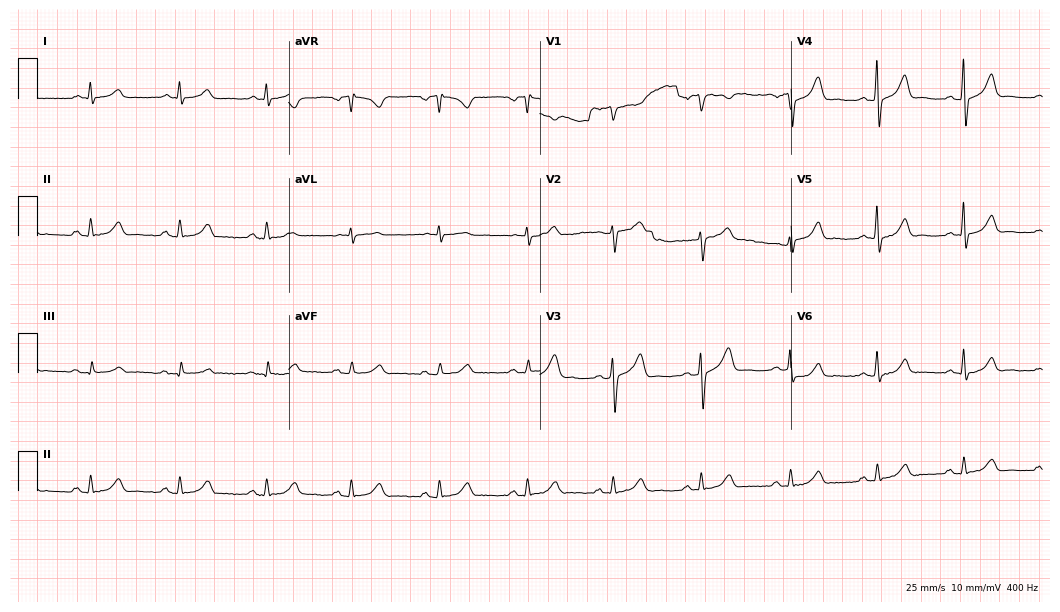
Resting 12-lead electrocardiogram. Patient: a male, 61 years old. Read as a normal ECG.